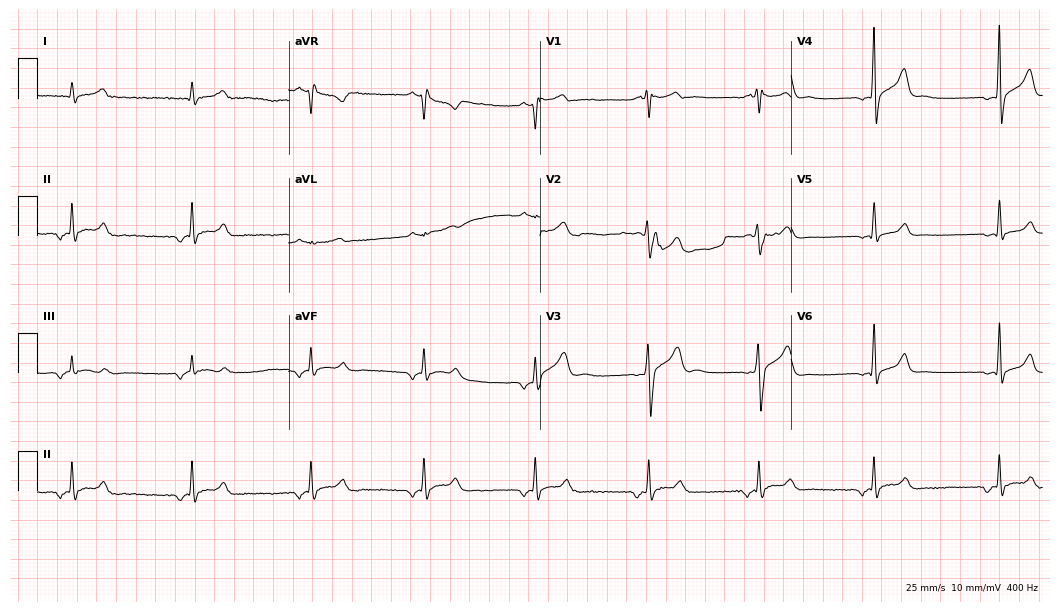
Electrocardiogram (10.2-second recording at 400 Hz), a male, 27 years old. Of the six screened findings (first-degree AV block, right bundle branch block, left bundle branch block, sinus bradycardia, atrial fibrillation, sinus tachycardia), none is recorded.